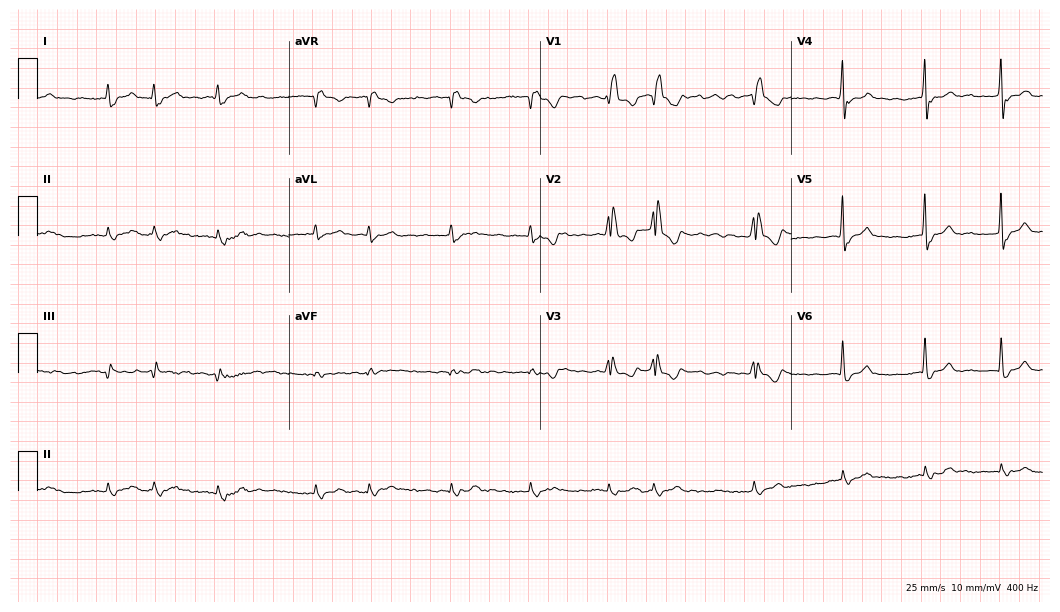
ECG (10.2-second recording at 400 Hz) — a 72-year-old female. Findings include right bundle branch block, atrial fibrillation.